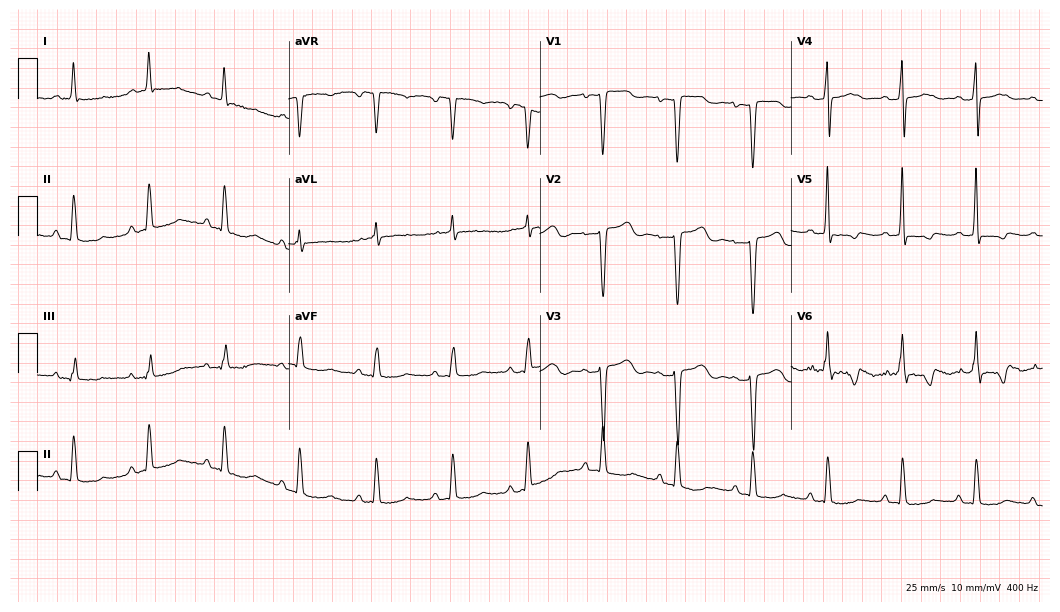
ECG (10.2-second recording at 400 Hz) — a 60-year-old woman. Screened for six findings — first-degree AV block, right bundle branch block, left bundle branch block, sinus bradycardia, atrial fibrillation, sinus tachycardia — none is recorded. Only these six findings were labelled.